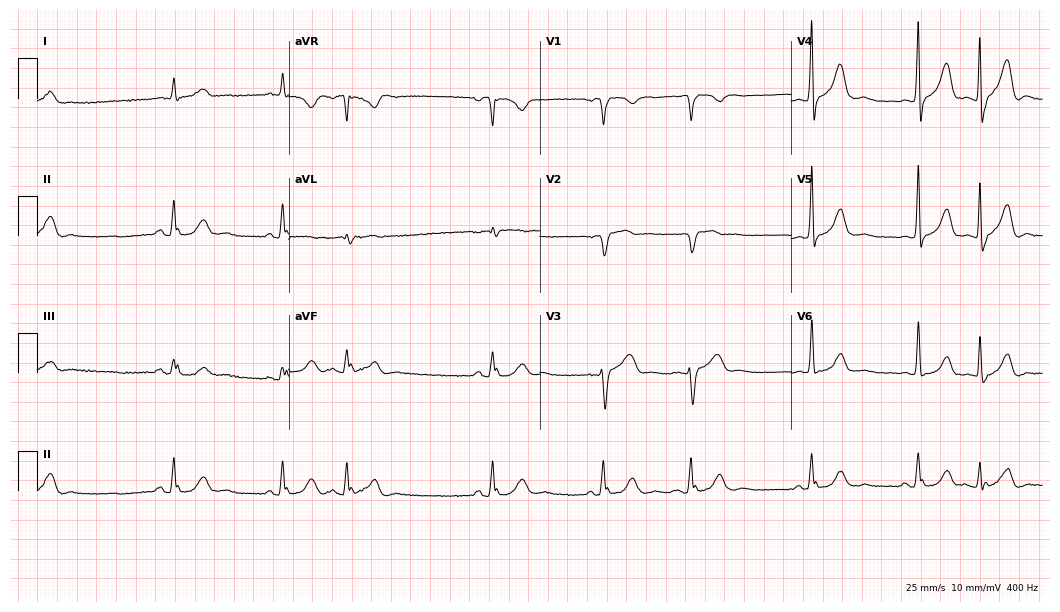
Standard 12-lead ECG recorded from a male patient, 82 years old. None of these six findings is recorded: first-degree AV block, right bundle branch block, left bundle branch block, sinus bradycardia, atrial fibrillation, sinus tachycardia. Only these six findings were labelled.